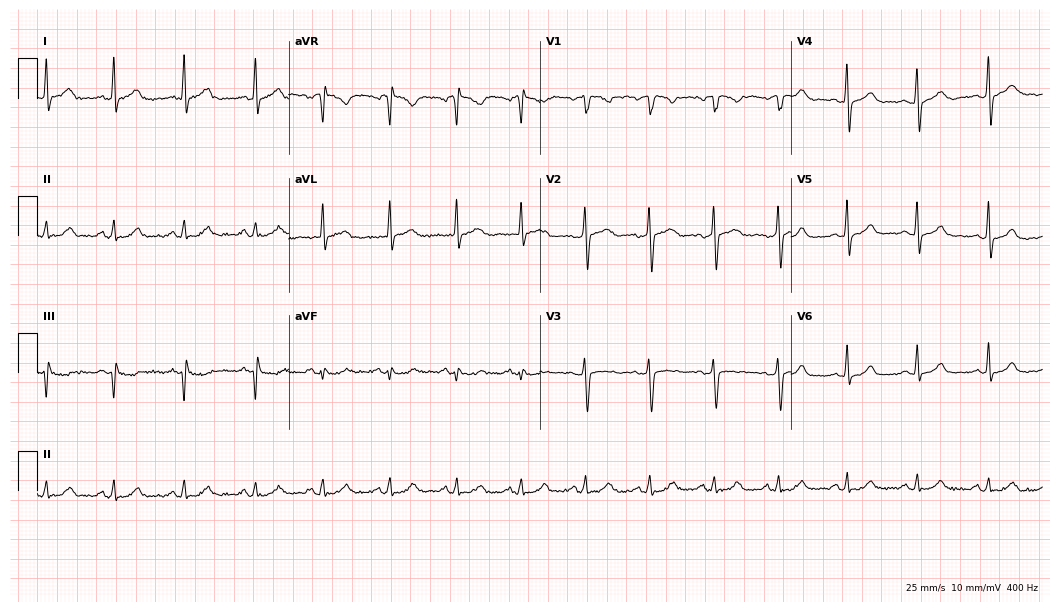
Electrocardiogram, a 42-year-old female. Overall reading on record: normal ECG.